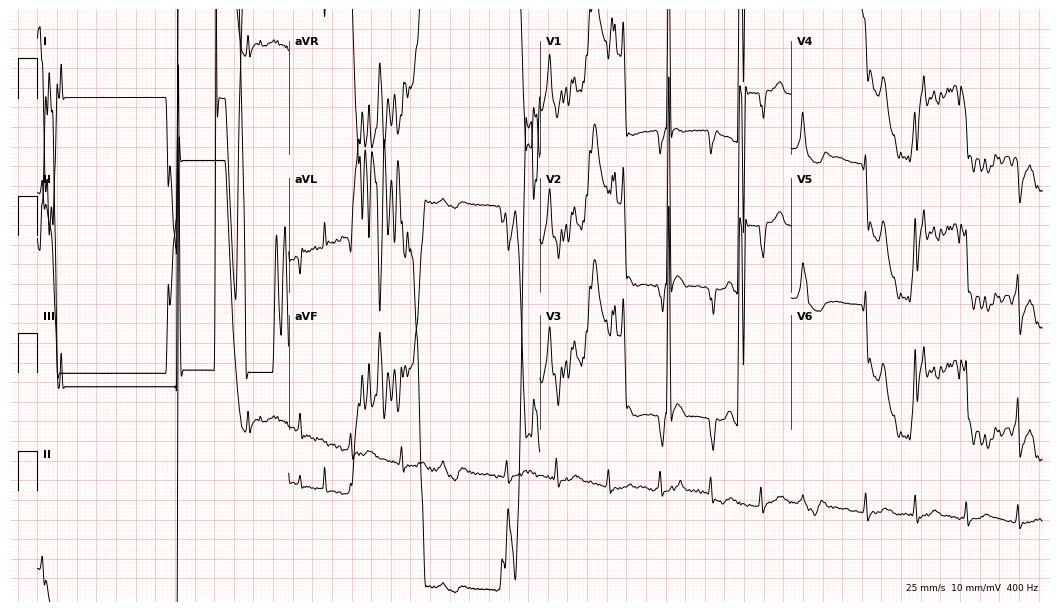
12-lead ECG from a female patient, 73 years old. No first-degree AV block, right bundle branch block, left bundle branch block, sinus bradycardia, atrial fibrillation or sinus tachycardia recorded for this tracing. Only these six findings were labelled.